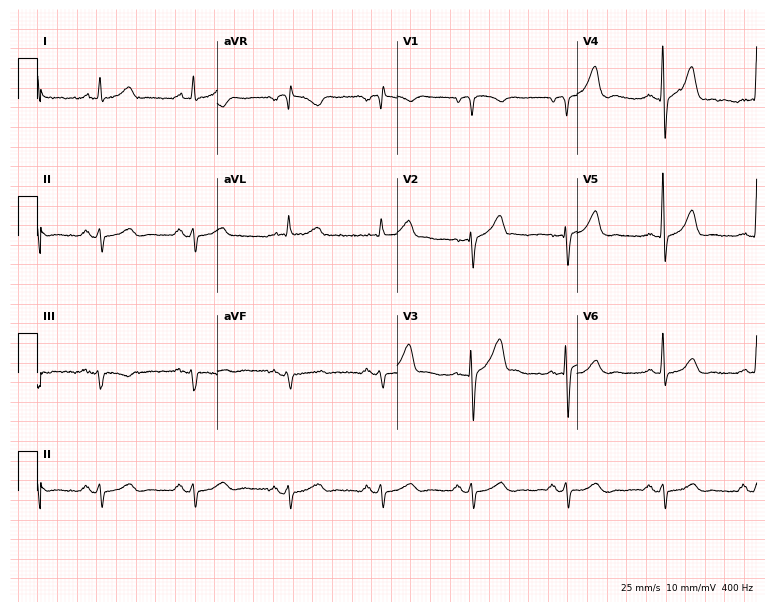
Electrocardiogram (7.3-second recording at 400 Hz), a 67-year-old man. Of the six screened findings (first-degree AV block, right bundle branch block (RBBB), left bundle branch block (LBBB), sinus bradycardia, atrial fibrillation (AF), sinus tachycardia), none is recorded. Findings outside these six are not listed.